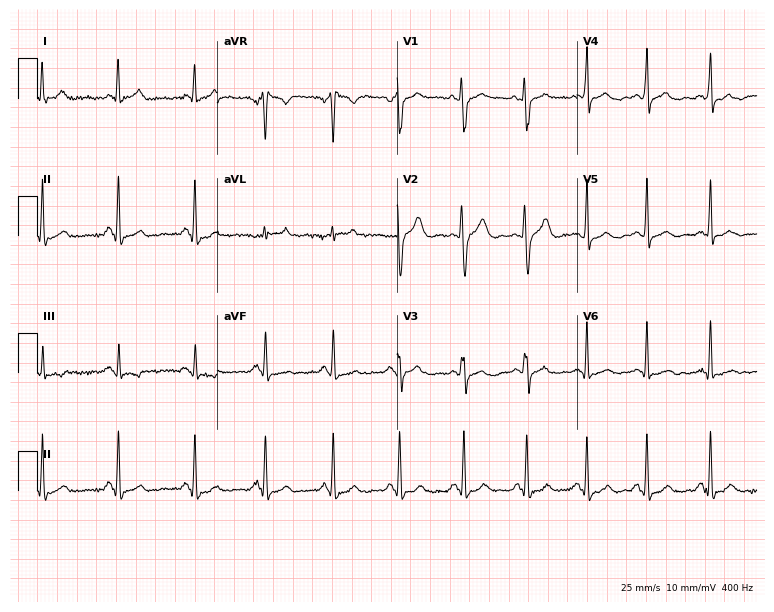
ECG (7.3-second recording at 400 Hz) — a female, 21 years old. Screened for six findings — first-degree AV block, right bundle branch block (RBBB), left bundle branch block (LBBB), sinus bradycardia, atrial fibrillation (AF), sinus tachycardia — none is recorded.